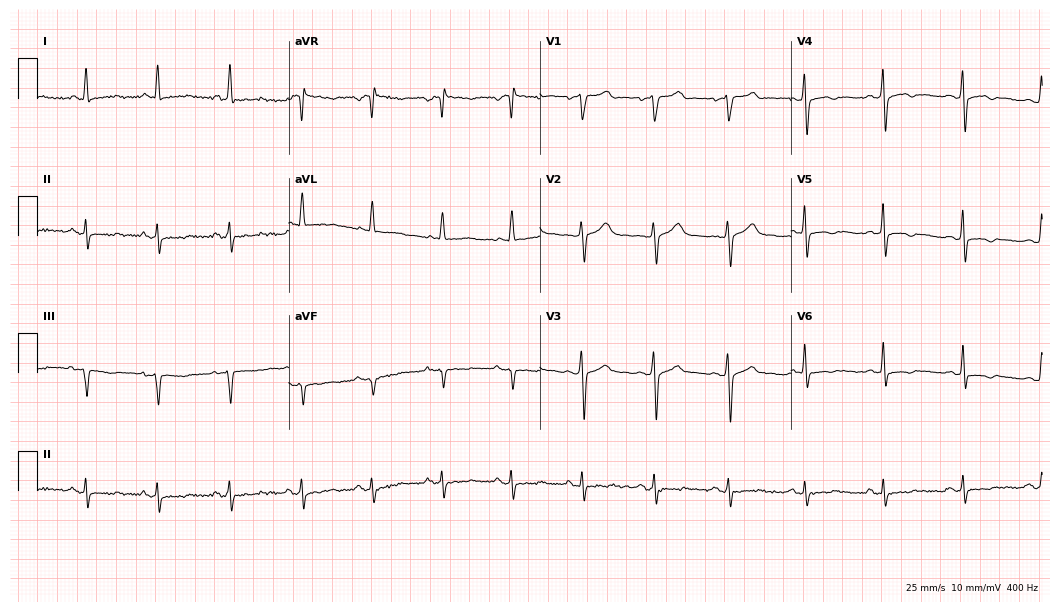
Electrocardiogram (10.2-second recording at 400 Hz), a male, 49 years old. Of the six screened findings (first-degree AV block, right bundle branch block (RBBB), left bundle branch block (LBBB), sinus bradycardia, atrial fibrillation (AF), sinus tachycardia), none is recorded. Only these six findings were labelled.